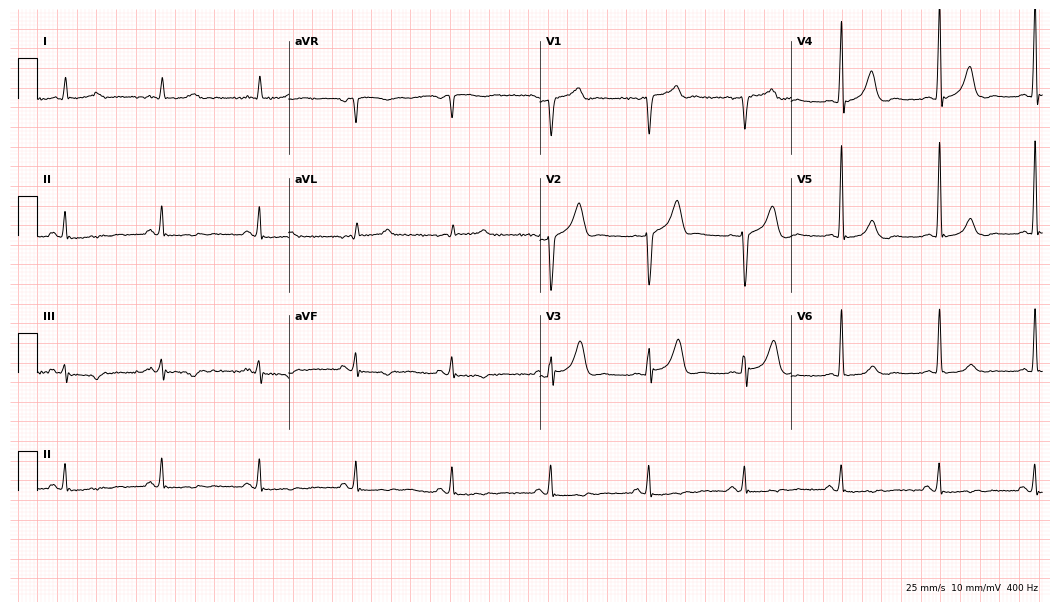
ECG — a 71-year-old male patient. Screened for six findings — first-degree AV block, right bundle branch block, left bundle branch block, sinus bradycardia, atrial fibrillation, sinus tachycardia — none is recorded. Findings outside these six are not listed.